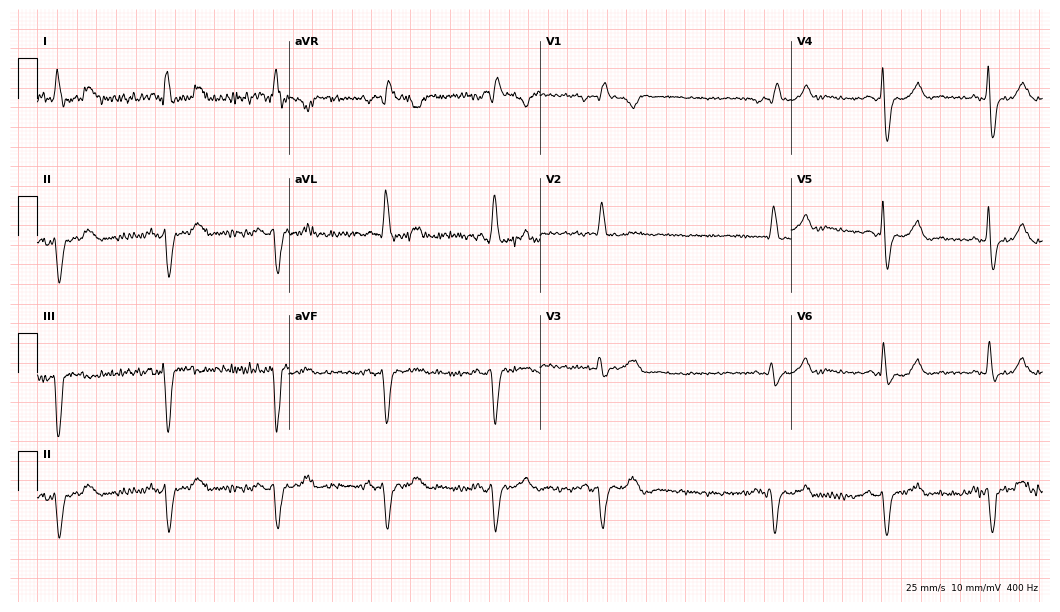
12-lead ECG from an 81-year-old male patient (10.2-second recording at 400 Hz). Shows right bundle branch block.